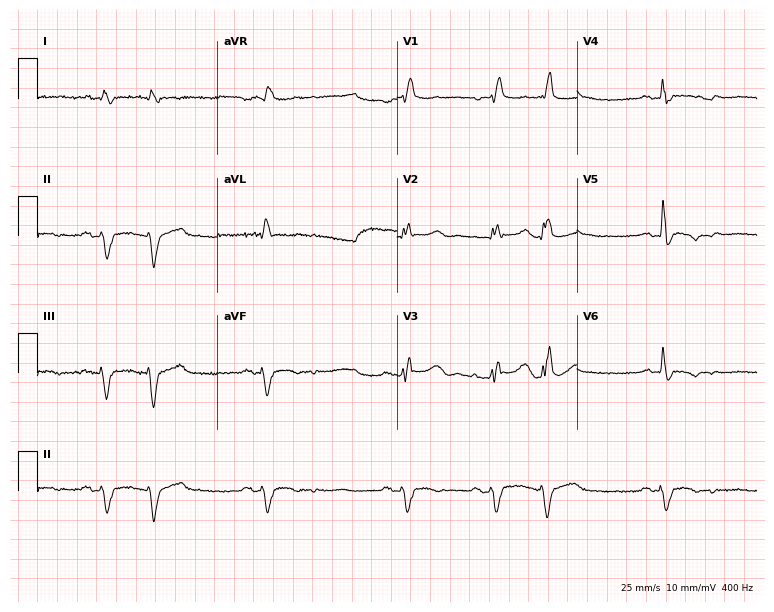
ECG — a man, 61 years old. Findings include right bundle branch block (RBBB).